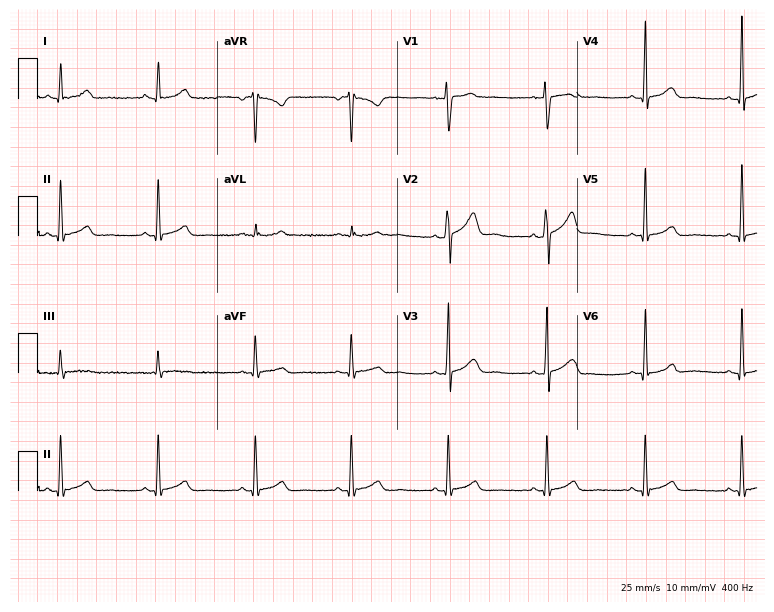
12-lead ECG from a male, 41 years old. Recorded interpretation: within normal limits.